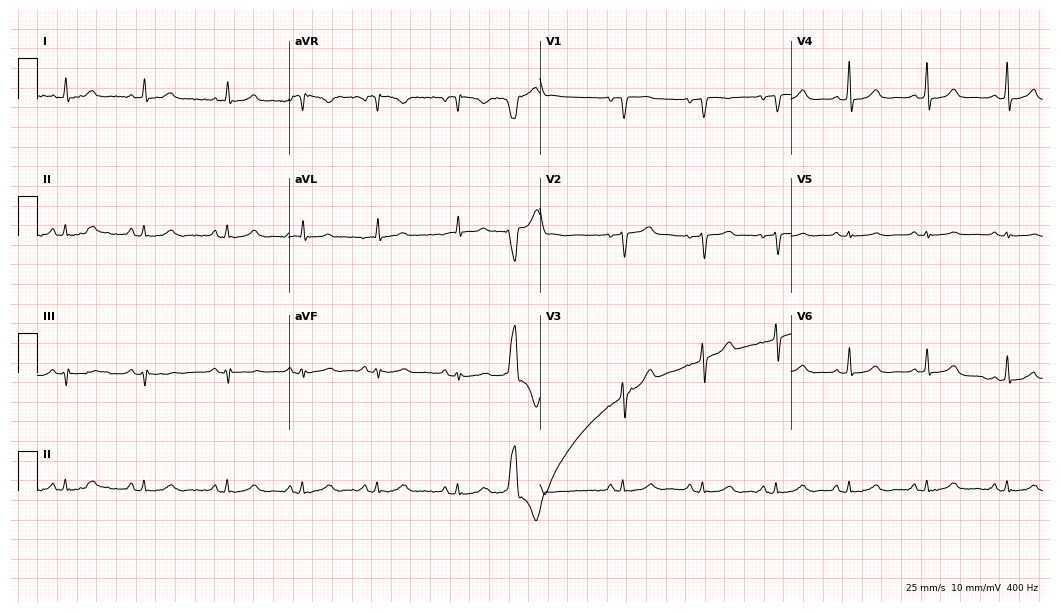
12-lead ECG from a 51-year-old female patient. No first-degree AV block, right bundle branch block, left bundle branch block, sinus bradycardia, atrial fibrillation or sinus tachycardia recorded for this tracing. Findings outside these six are not listed.